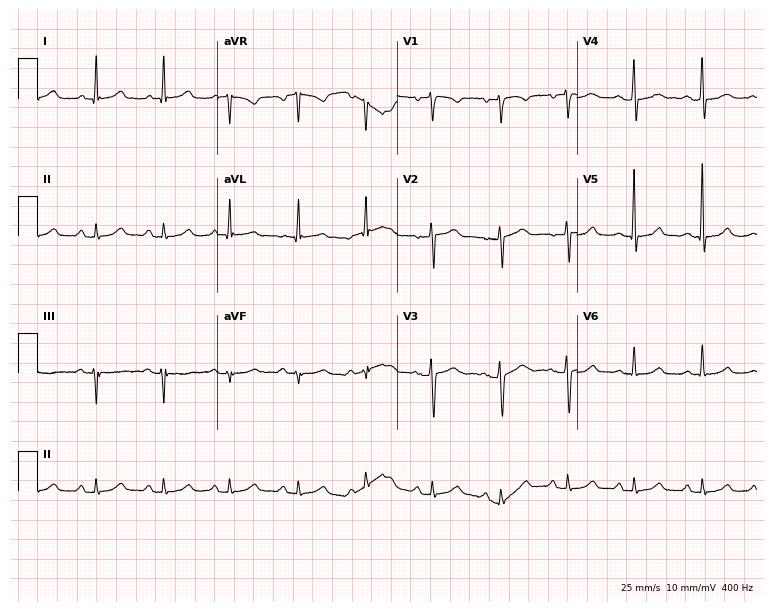
12-lead ECG from a 56-year-old female patient (7.3-second recording at 400 Hz). Recorded interpretation: within normal limits.